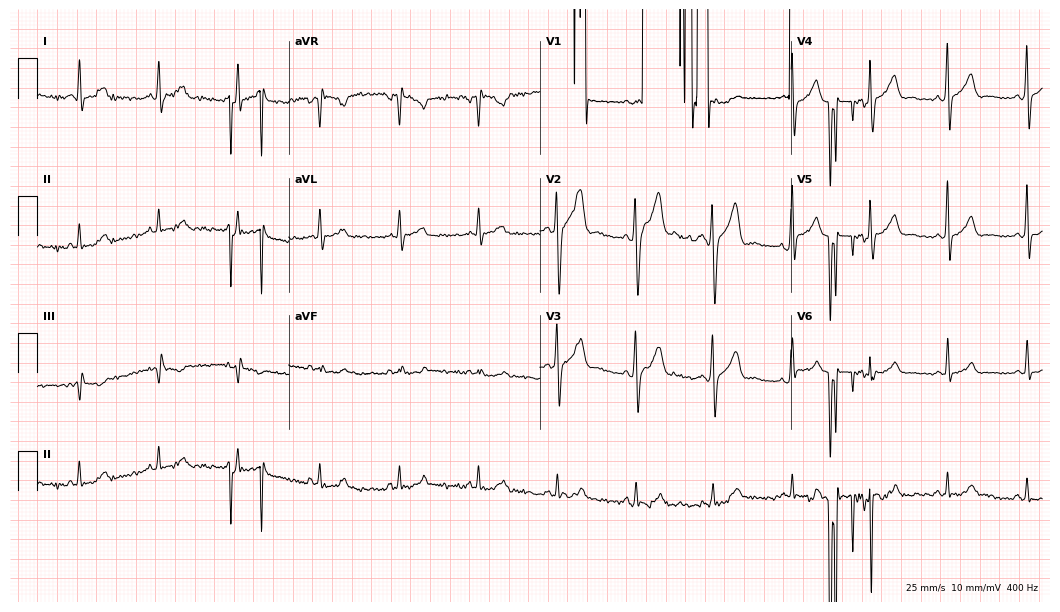
ECG — a 34-year-old man. Screened for six findings — first-degree AV block, right bundle branch block, left bundle branch block, sinus bradycardia, atrial fibrillation, sinus tachycardia — none is recorded.